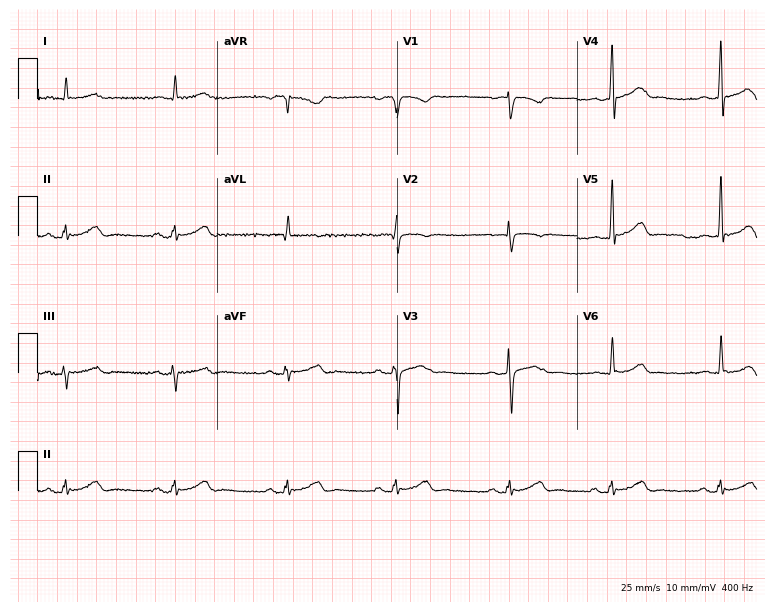
12-lead ECG from a 67-year-old male (7.3-second recording at 400 Hz). Recorded interpretation: within normal limits.